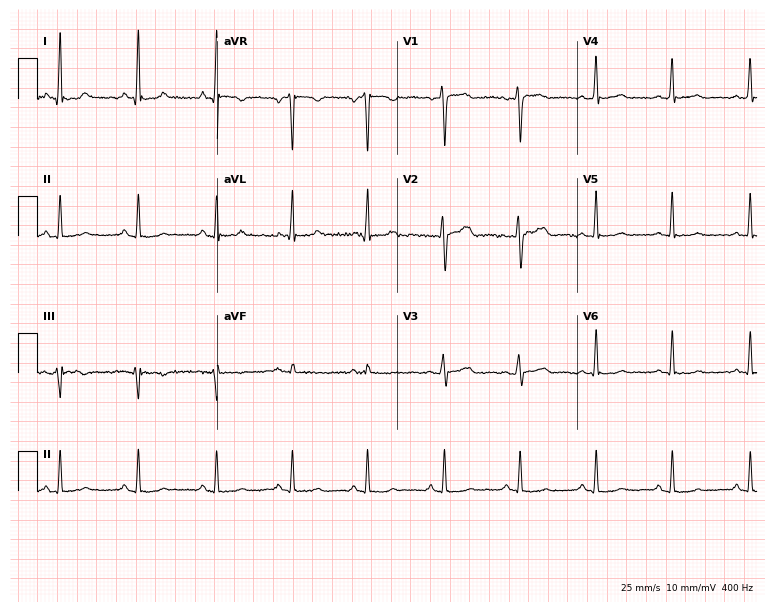
Resting 12-lead electrocardiogram. Patient: a female, 43 years old. None of these six findings is recorded: first-degree AV block, right bundle branch block, left bundle branch block, sinus bradycardia, atrial fibrillation, sinus tachycardia. Other findings, if any, are not listed.